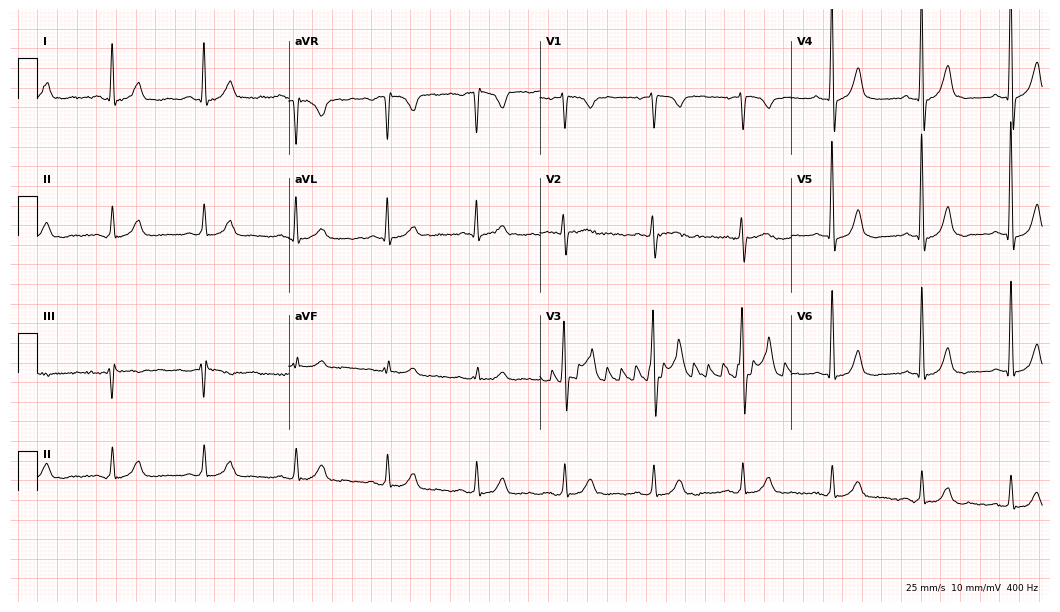
Electrocardiogram, a 67-year-old male. Overall reading on record: normal ECG.